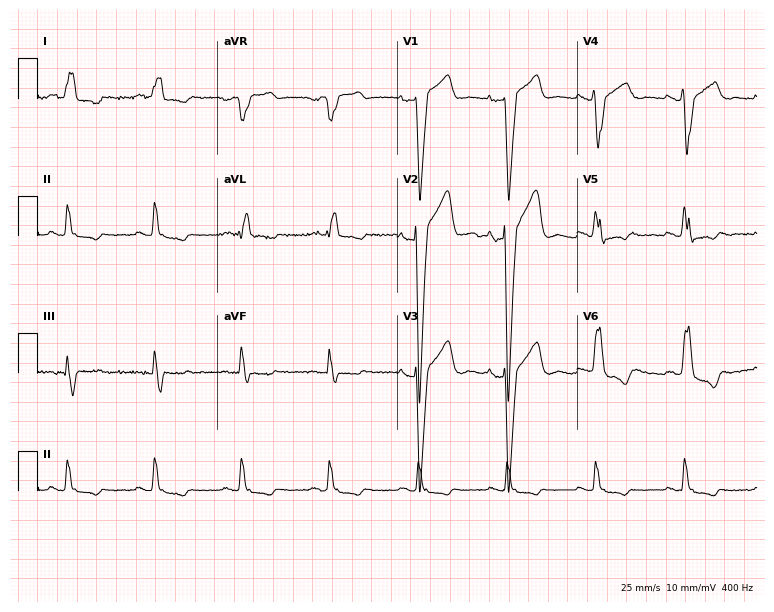
Resting 12-lead electrocardiogram (7.3-second recording at 400 Hz). Patient: a 59-year-old male. The tracing shows left bundle branch block (LBBB).